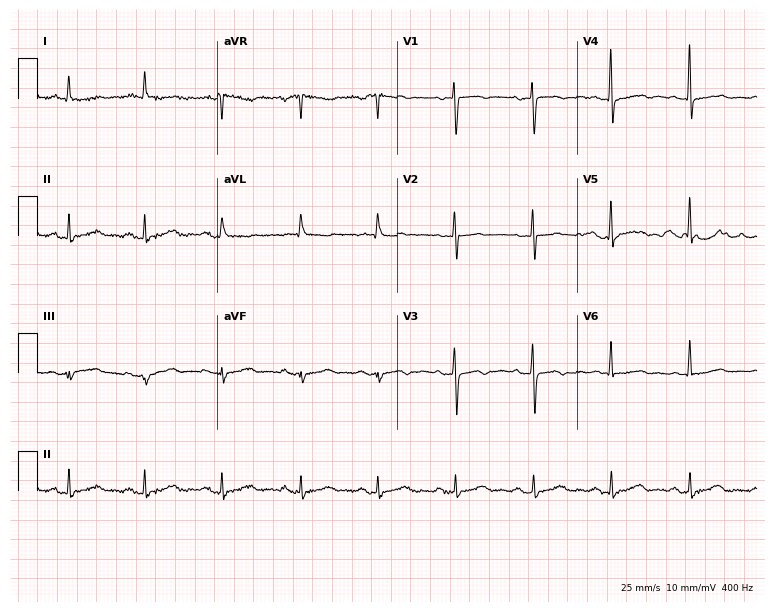
Resting 12-lead electrocardiogram. Patient: a woman, 79 years old. None of these six findings is recorded: first-degree AV block, right bundle branch block (RBBB), left bundle branch block (LBBB), sinus bradycardia, atrial fibrillation (AF), sinus tachycardia. Other findings, if any, are not listed.